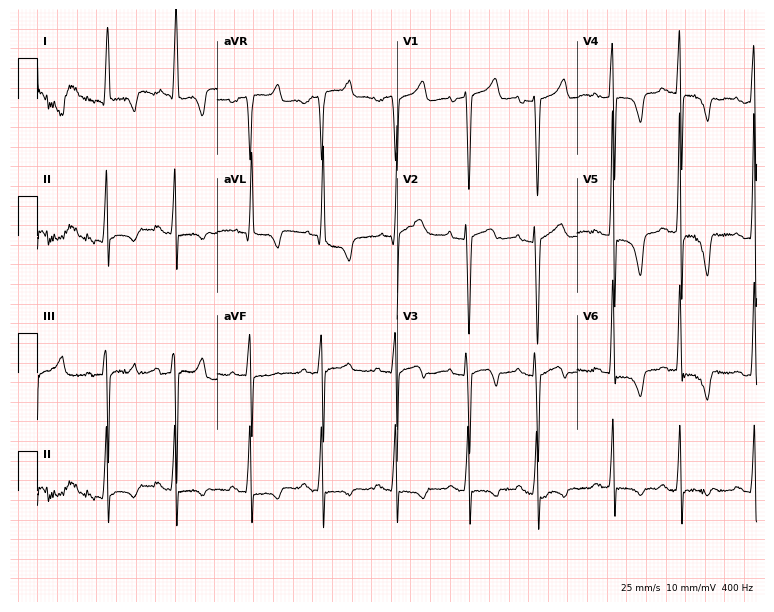
Electrocardiogram (7.3-second recording at 400 Hz), a female patient, 77 years old. Of the six screened findings (first-degree AV block, right bundle branch block, left bundle branch block, sinus bradycardia, atrial fibrillation, sinus tachycardia), none is recorded.